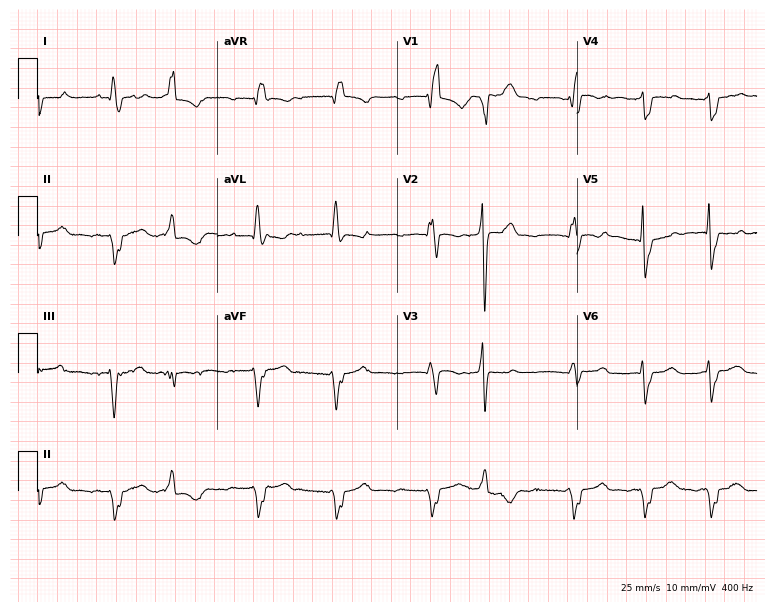
ECG (7.3-second recording at 400 Hz) — a female, 75 years old. Findings include right bundle branch block.